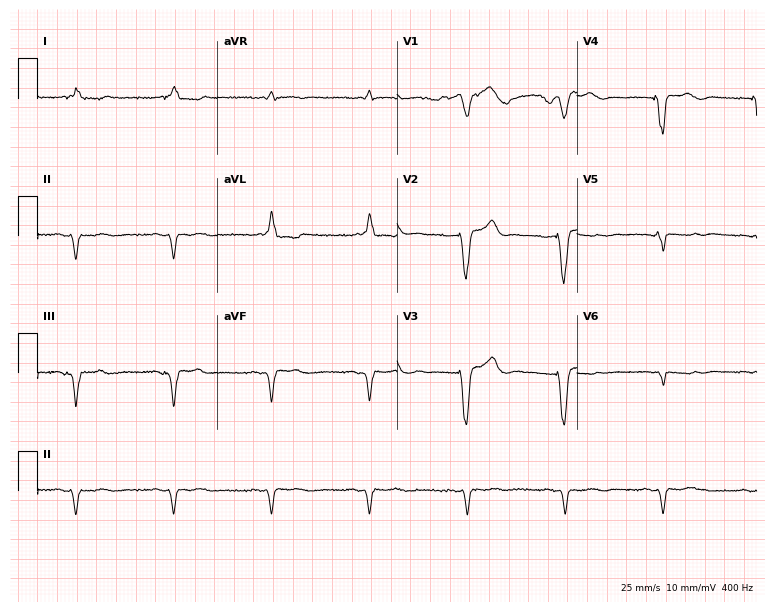
12-lead ECG from a female, 75 years old (7.3-second recording at 400 Hz). No first-degree AV block, right bundle branch block (RBBB), left bundle branch block (LBBB), sinus bradycardia, atrial fibrillation (AF) or sinus tachycardia recorded for this tracing.